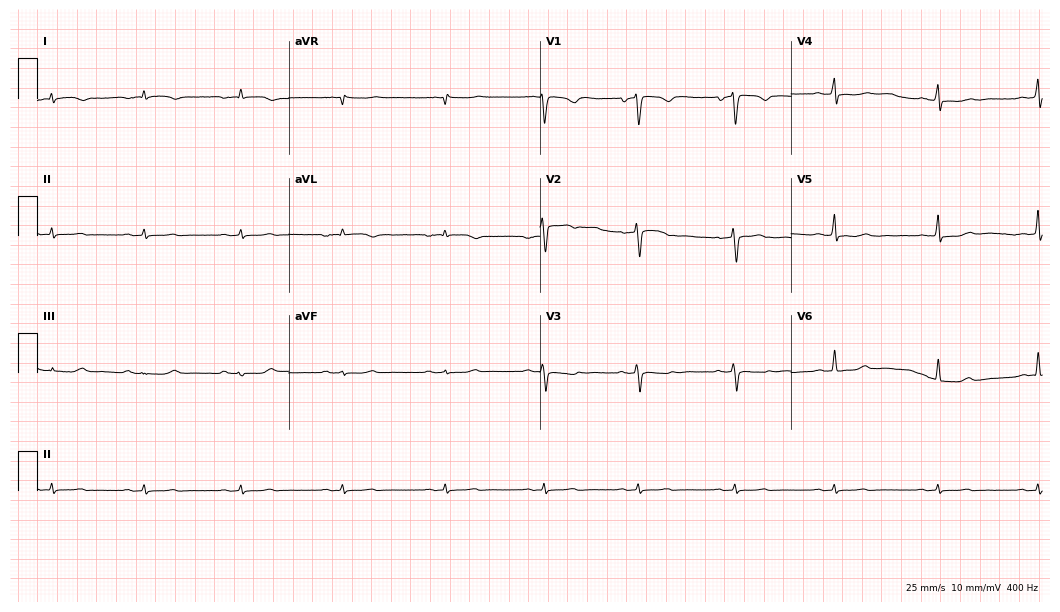
Standard 12-lead ECG recorded from a 51-year-old female patient. Read as a normal ECG.